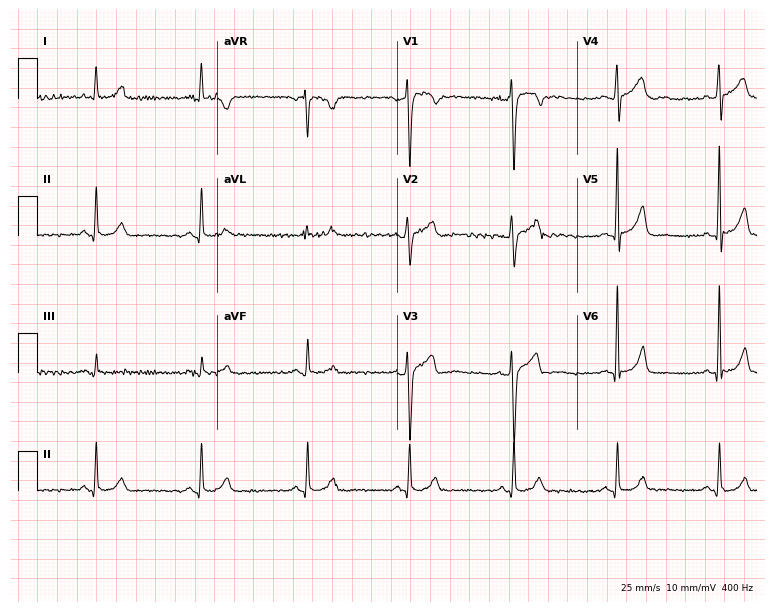
Standard 12-lead ECG recorded from a 30-year-old man (7.3-second recording at 400 Hz). Read as a normal ECG.